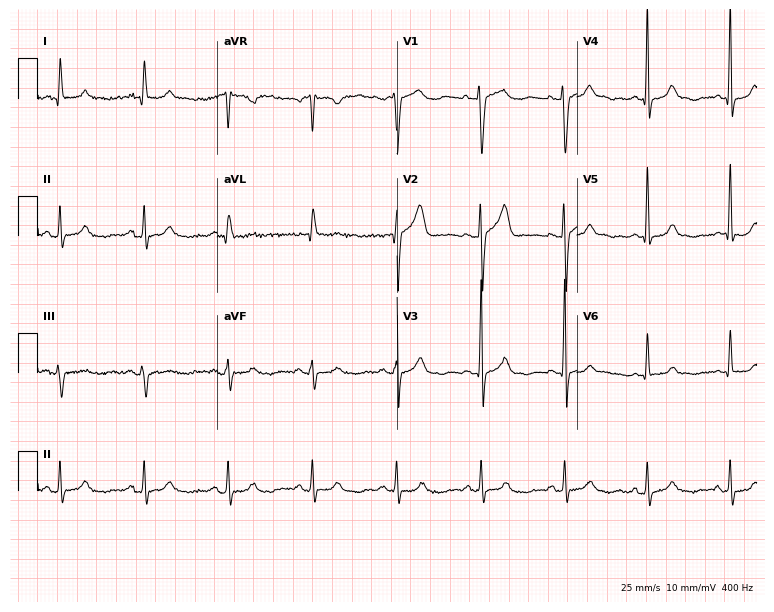
Electrocardiogram, a 60-year-old woman. Of the six screened findings (first-degree AV block, right bundle branch block (RBBB), left bundle branch block (LBBB), sinus bradycardia, atrial fibrillation (AF), sinus tachycardia), none is recorded. Other findings, if any, are not listed.